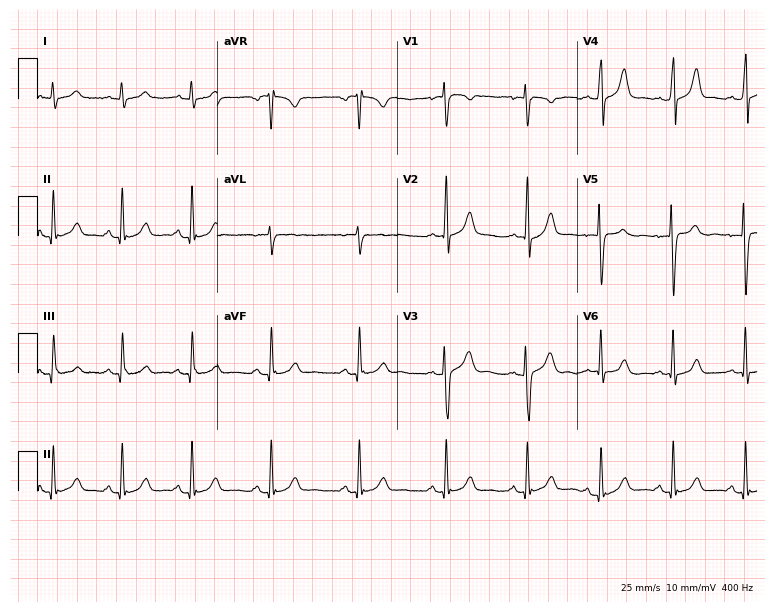
Electrocardiogram (7.3-second recording at 400 Hz), a 19-year-old female. Of the six screened findings (first-degree AV block, right bundle branch block, left bundle branch block, sinus bradycardia, atrial fibrillation, sinus tachycardia), none is recorded. Only these six findings were labelled.